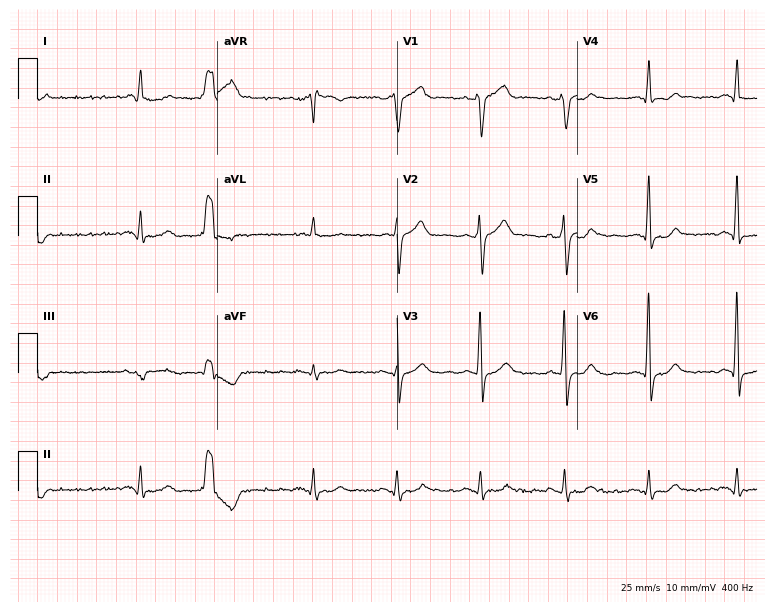
ECG (7.3-second recording at 400 Hz) — a 70-year-old man. Screened for six findings — first-degree AV block, right bundle branch block, left bundle branch block, sinus bradycardia, atrial fibrillation, sinus tachycardia — none is recorded.